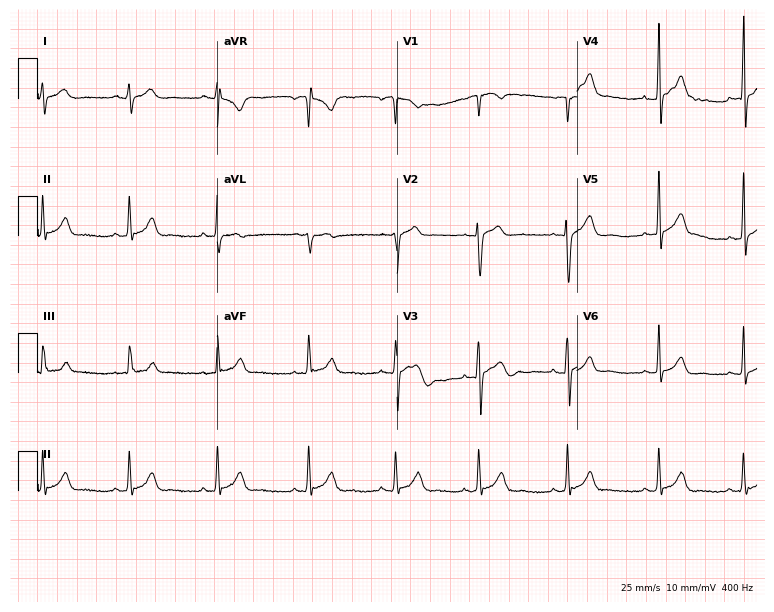
12-lead ECG from a man, 20 years old. Recorded interpretation: within normal limits.